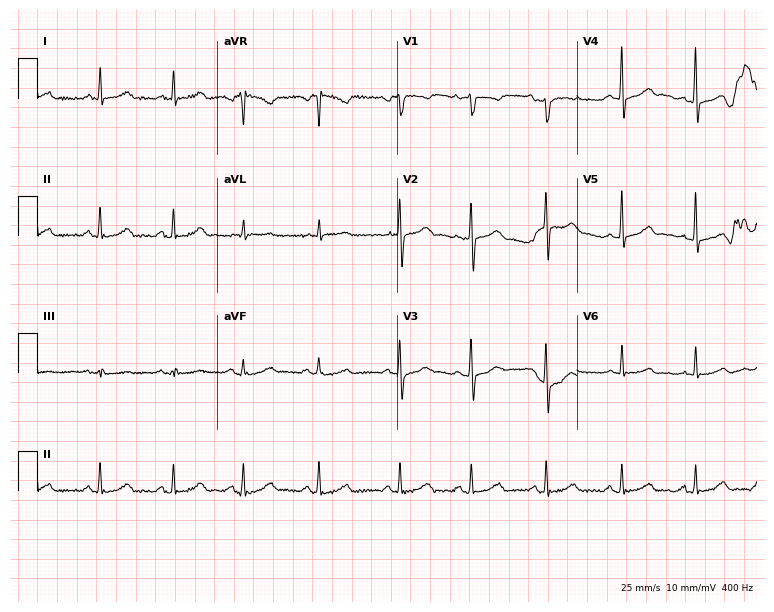
Electrocardiogram, a female patient, 68 years old. Overall reading on record: normal ECG.